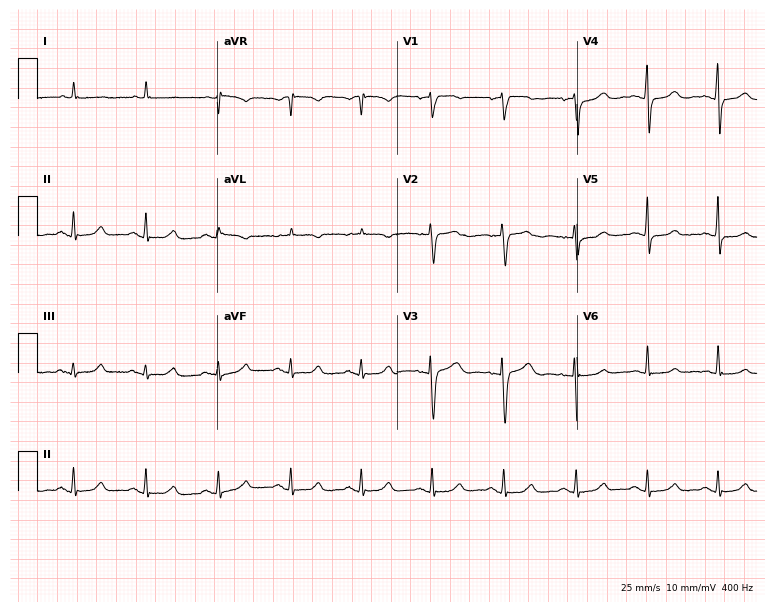
12-lead ECG (7.3-second recording at 400 Hz) from a woman, 74 years old. Labelled as a normal ECG.